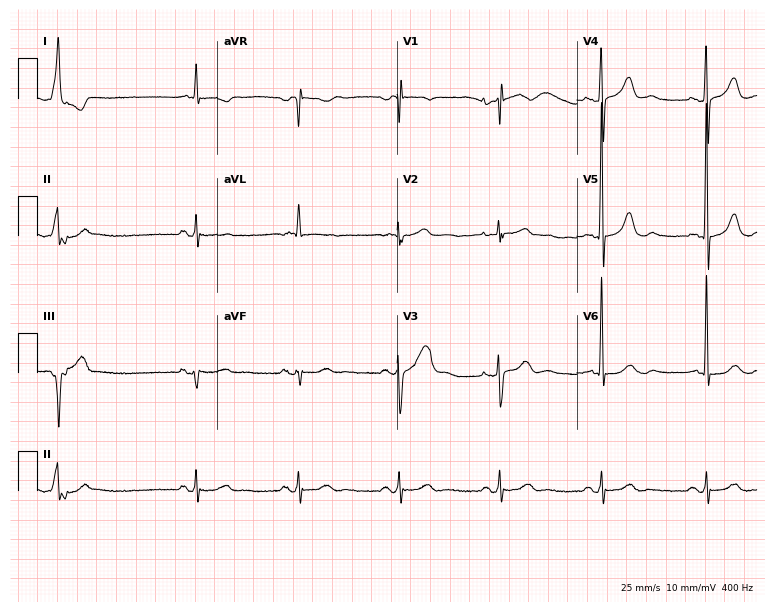
Standard 12-lead ECG recorded from an 80-year-old male (7.3-second recording at 400 Hz). None of these six findings is recorded: first-degree AV block, right bundle branch block, left bundle branch block, sinus bradycardia, atrial fibrillation, sinus tachycardia. Other findings, if any, are not listed.